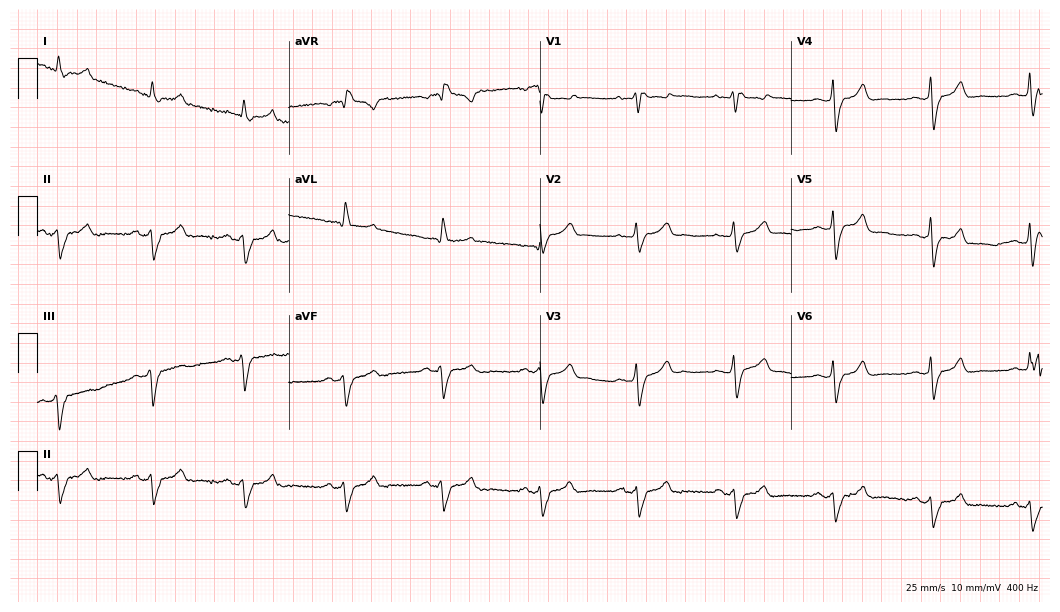
Resting 12-lead electrocardiogram (10.2-second recording at 400 Hz). Patient: a 25-year-old male. The tracing shows right bundle branch block.